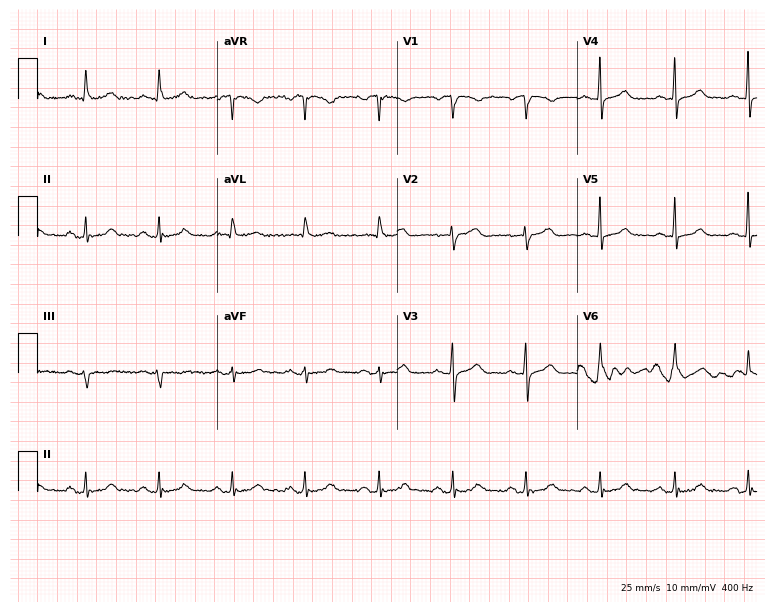
Standard 12-lead ECG recorded from a woman, 60 years old. Read as a normal ECG.